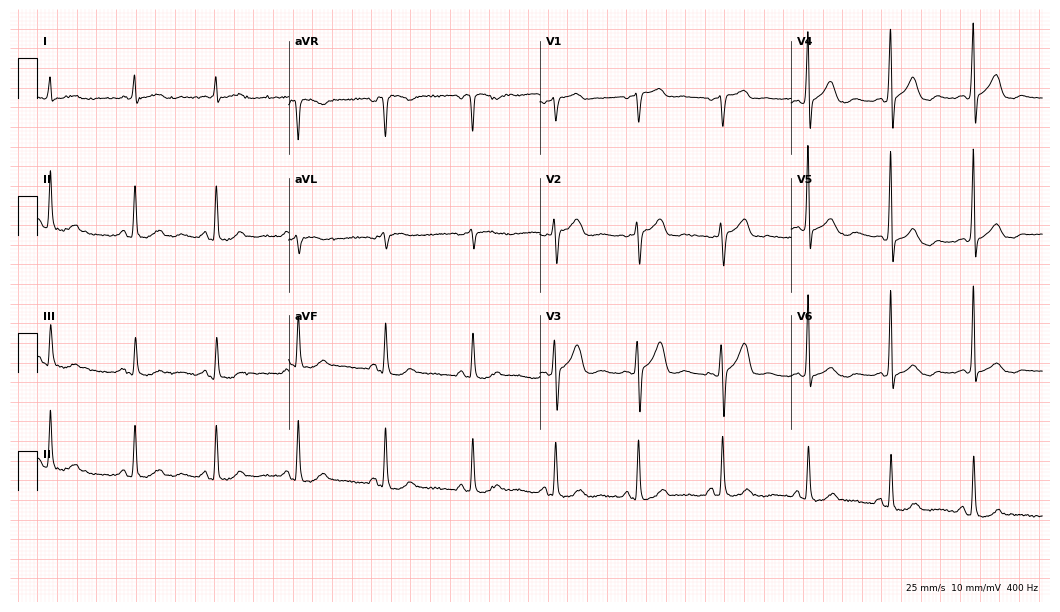
ECG — a female, 77 years old. Labelled as a normal ECG.